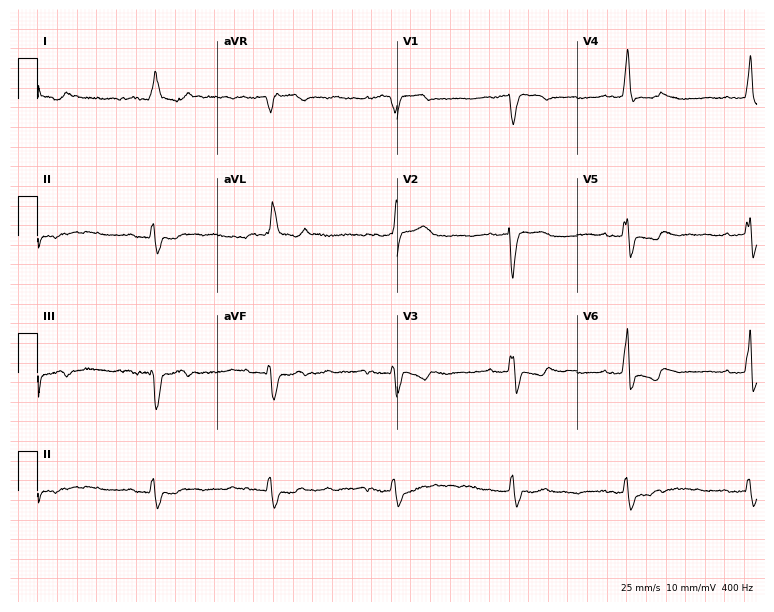
ECG (7.3-second recording at 400 Hz) — a 70-year-old woman. Findings include first-degree AV block, left bundle branch block (LBBB), sinus bradycardia (a sinus rate of 50 beats per minute or less).